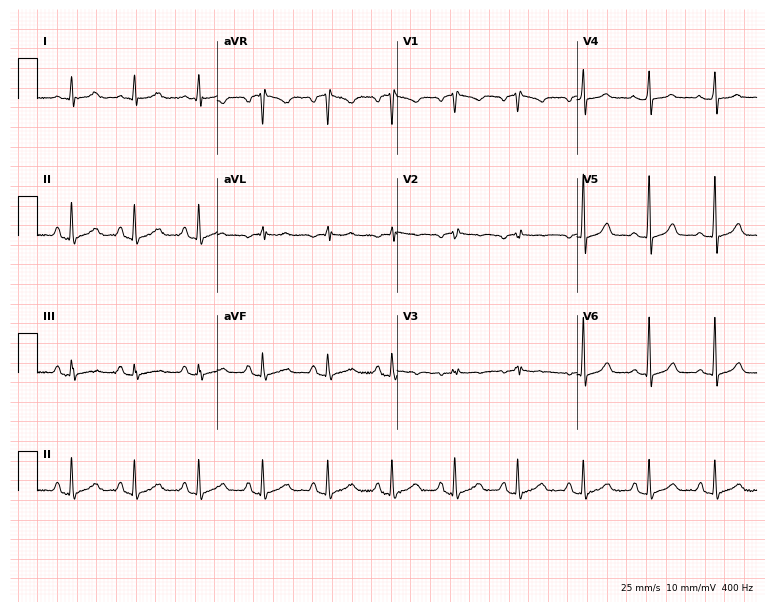
12-lead ECG from a 61-year-old female. No first-degree AV block, right bundle branch block (RBBB), left bundle branch block (LBBB), sinus bradycardia, atrial fibrillation (AF) or sinus tachycardia recorded for this tracing.